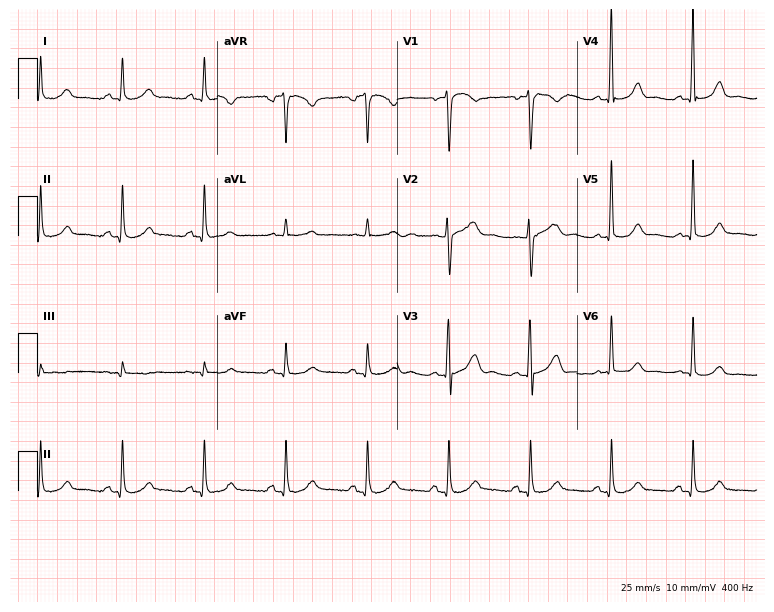
ECG (7.3-second recording at 400 Hz) — a man, 76 years old. Screened for six findings — first-degree AV block, right bundle branch block, left bundle branch block, sinus bradycardia, atrial fibrillation, sinus tachycardia — none is recorded. Only these six findings were labelled.